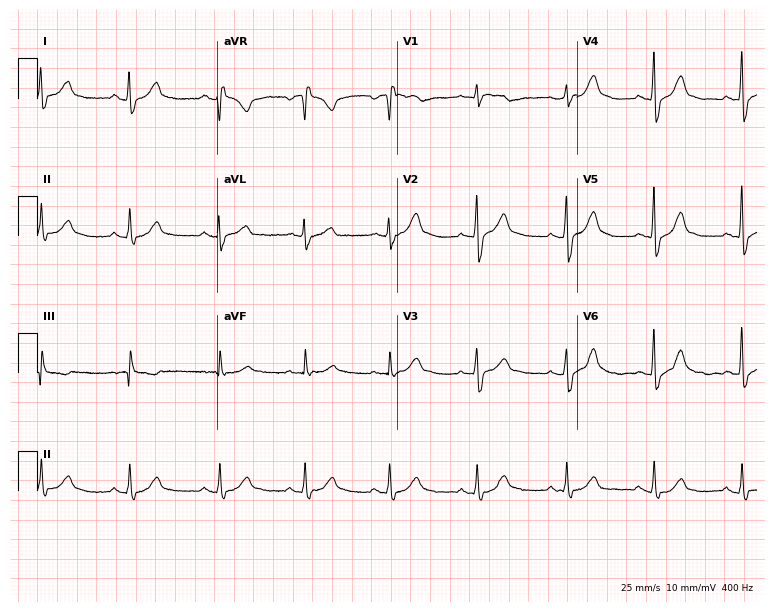
Standard 12-lead ECG recorded from a 44-year-old male. Read as a normal ECG.